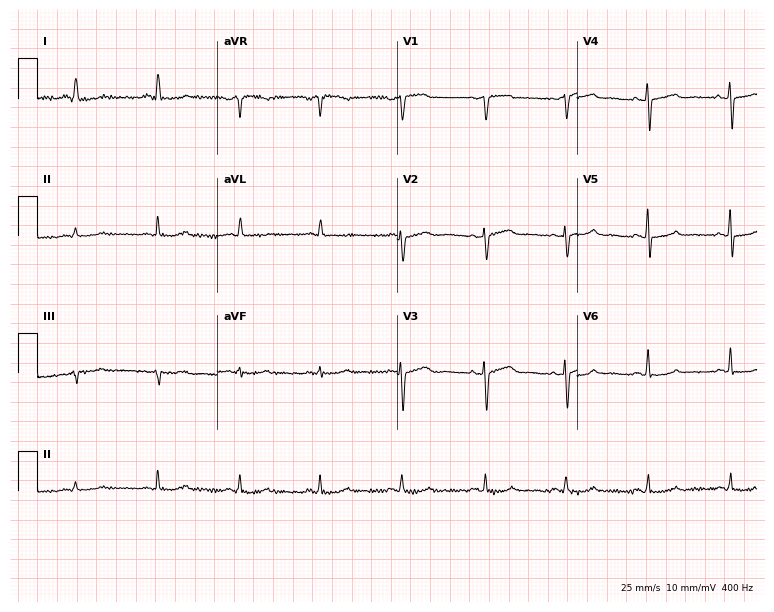
Electrocardiogram (7.3-second recording at 400 Hz), a female patient, 61 years old. Of the six screened findings (first-degree AV block, right bundle branch block, left bundle branch block, sinus bradycardia, atrial fibrillation, sinus tachycardia), none is recorded.